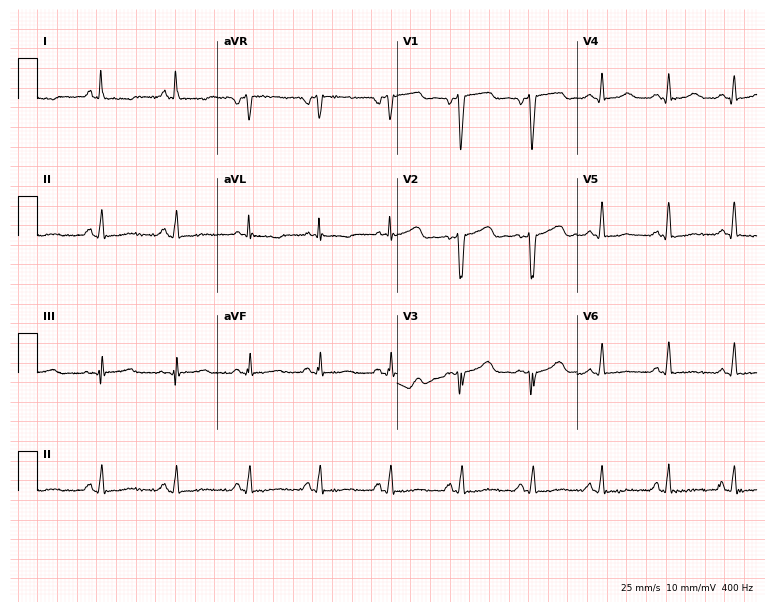
ECG (7.3-second recording at 400 Hz) — a 60-year-old female patient. Screened for six findings — first-degree AV block, right bundle branch block, left bundle branch block, sinus bradycardia, atrial fibrillation, sinus tachycardia — none is recorded. Findings outside these six are not listed.